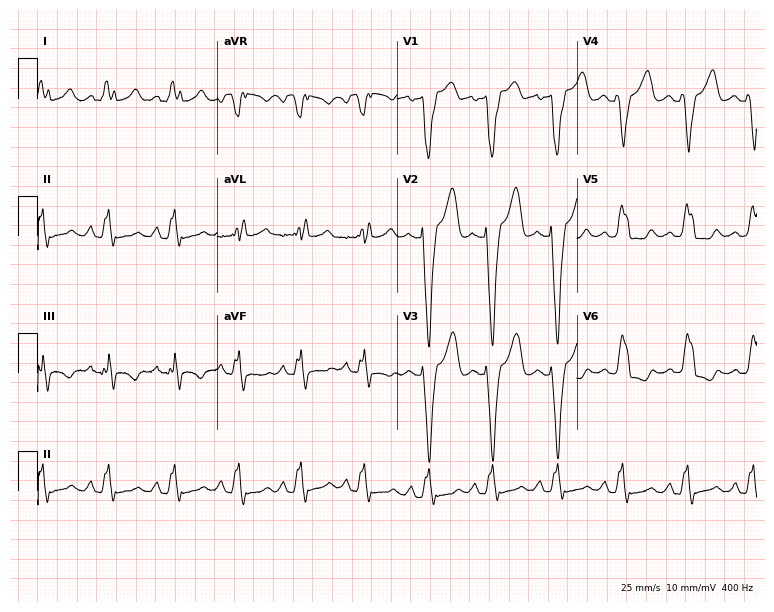
Resting 12-lead electrocardiogram (7.3-second recording at 400 Hz). Patient: a female, 49 years old. The tracing shows left bundle branch block.